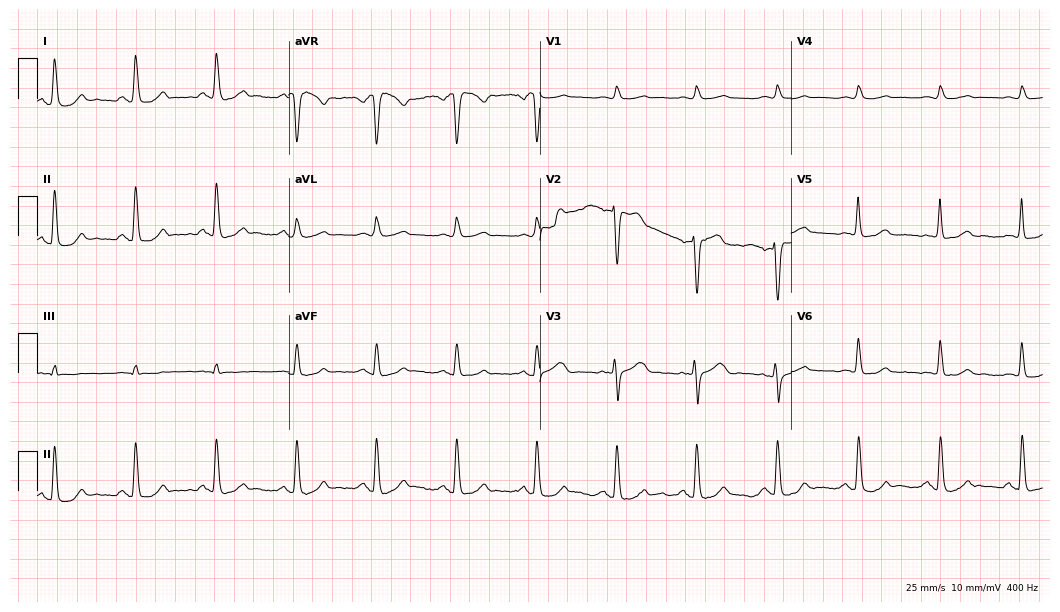
Resting 12-lead electrocardiogram (10.2-second recording at 400 Hz). Patient: an 84-year-old woman. None of these six findings is recorded: first-degree AV block, right bundle branch block (RBBB), left bundle branch block (LBBB), sinus bradycardia, atrial fibrillation (AF), sinus tachycardia.